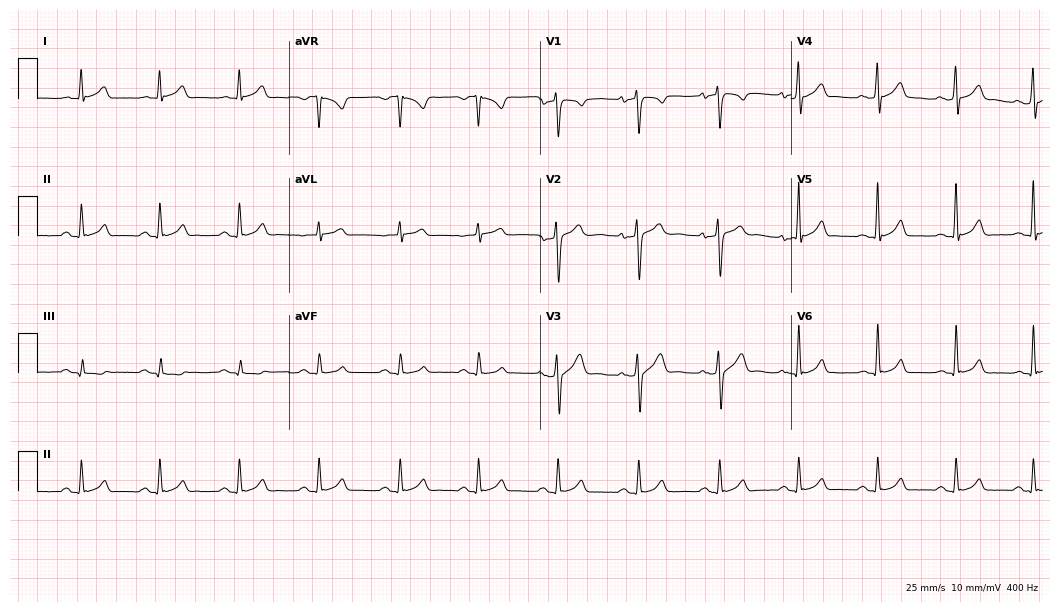
ECG — a 34-year-old man. Labelled as a normal ECG.